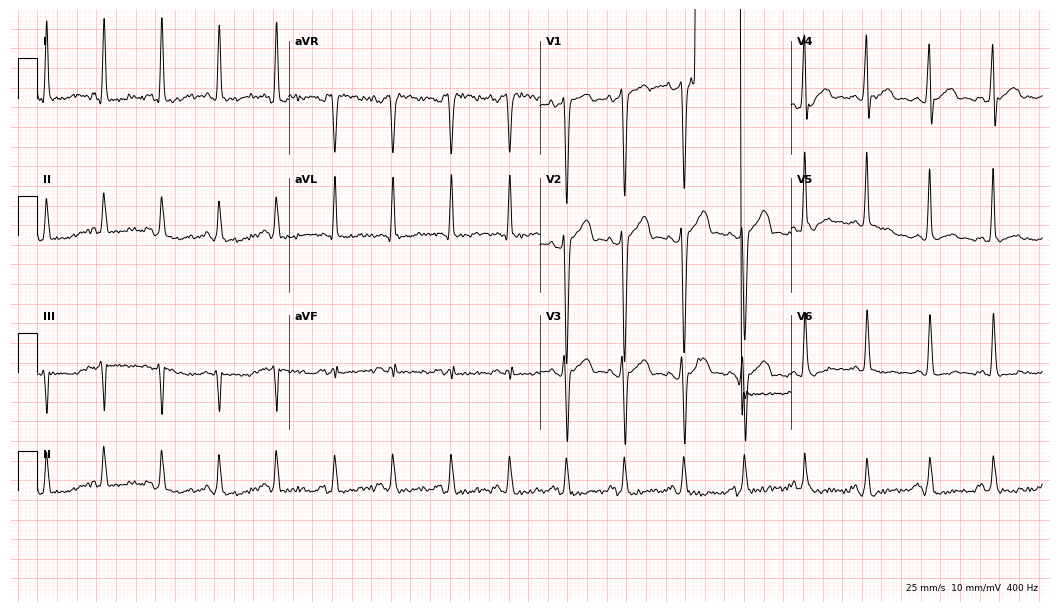
Resting 12-lead electrocardiogram (10.2-second recording at 400 Hz). Patient: a 41-year-old man. None of these six findings is recorded: first-degree AV block, right bundle branch block, left bundle branch block, sinus bradycardia, atrial fibrillation, sinus tachycardia.